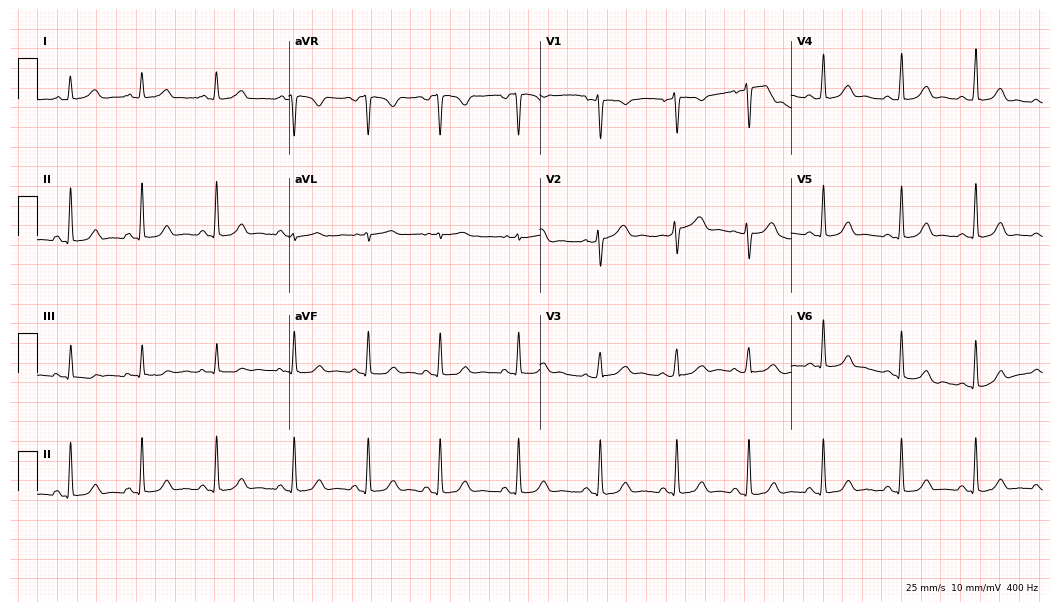
12-lead ECG (10.2-second recording at 400 Hz) from a 32-year-old female patient. Screened for six findings — first-degree AV block, right bundle branch block, left bundle branch block, sinus bradycardia, atrial fibrillation, sinus tachycardia — none is recorded. Other findings, if any, are not listed.